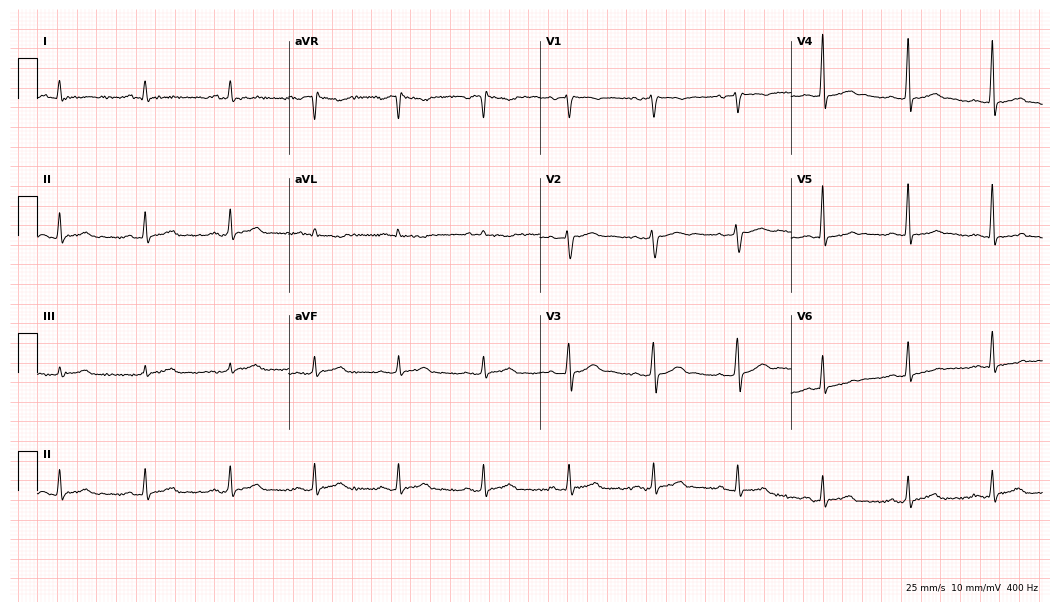
12-lead ECG from a male, 69 years old (10.2-second recording at 400 Hz). No first-degree AV block, right bundle branch block (RBBB), left bundle branch block (LBBB), sinus bradycardia, atrial fibrillation (AF) or sinus tachycardia recorded for this tracing.